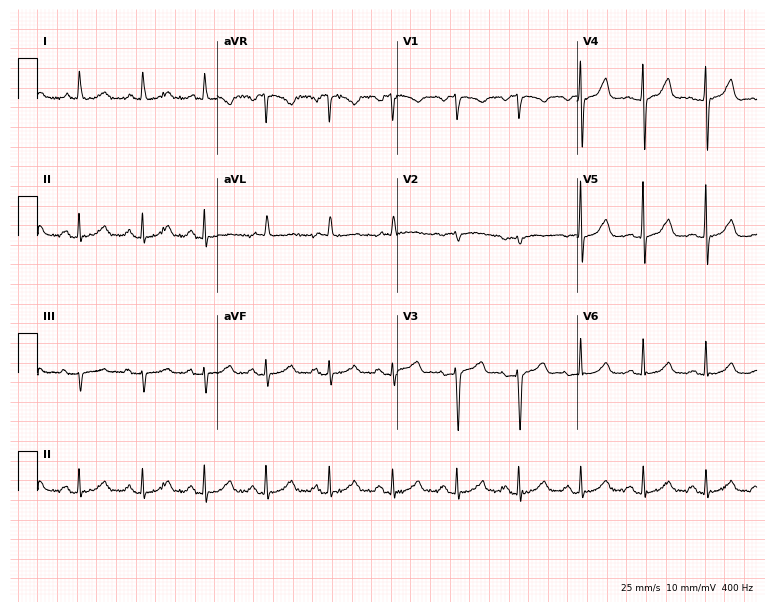
12-lead ECG from a 79-year-old female. Recorded interpretation: within normal limits.